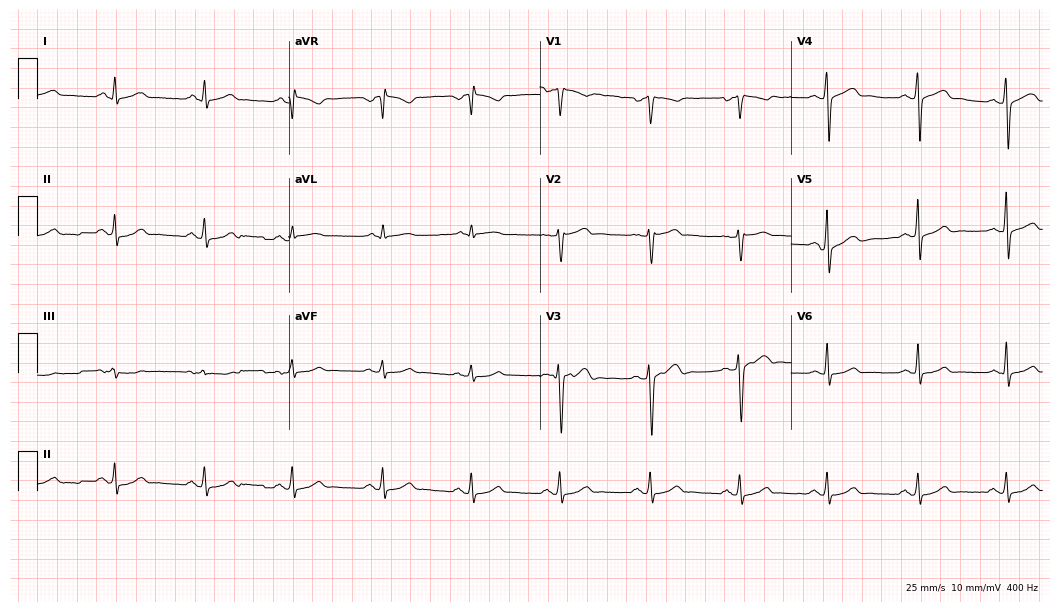
Resting 12-lead electrocardiogram. Patient: a 34-year-old man. Read as a normal ECG.